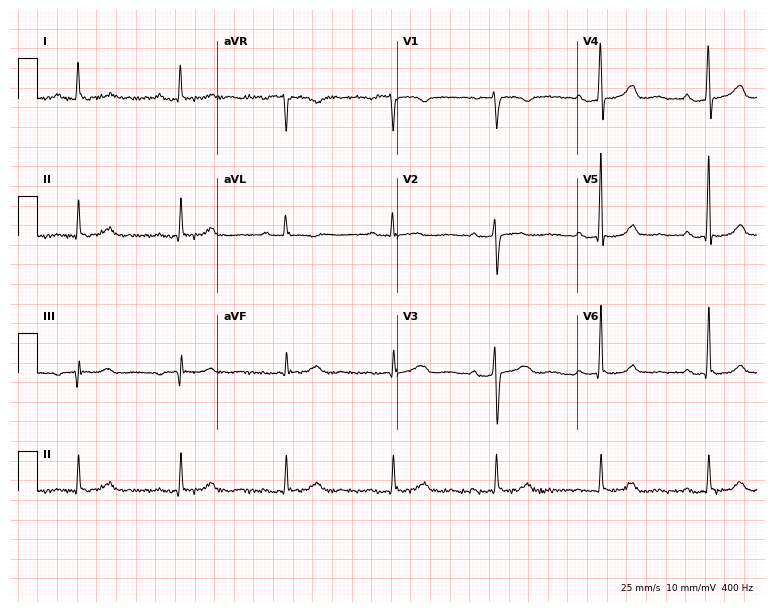
ECG — a woman, 84 years old. Findings include first-degree AV block.